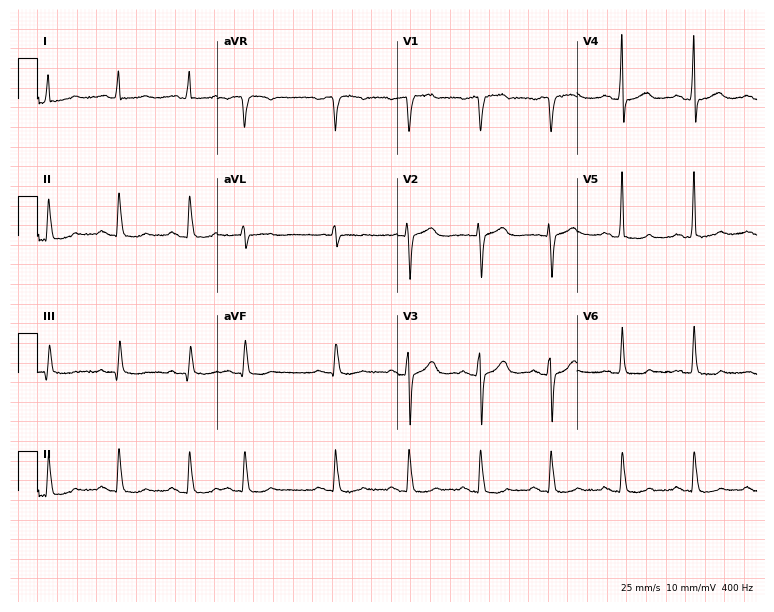
ECG — a man, 75 years old. Screened for six findings — first-degree AV block, right bundle branch block, left bundle branch block, sinus bradycardia, atrial fibrillation, sinus tachycardia — none is recorded. Only these six findings were labelled.